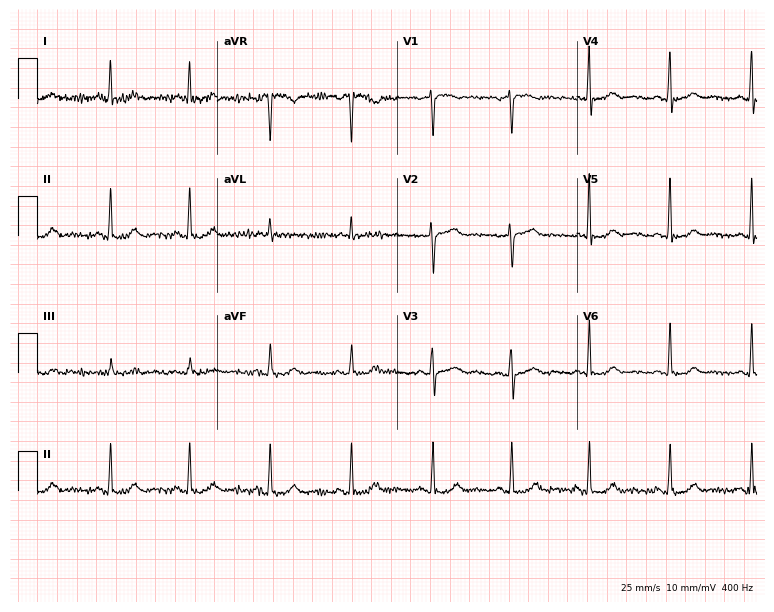
ECG — a 66-year-old female. Labelled as a normal ECG.